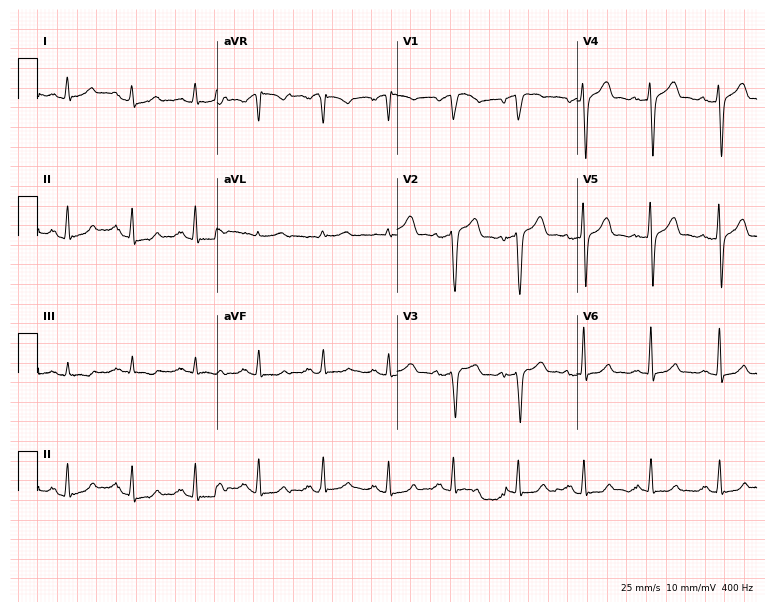
12-lead ECG (7.3-second recording at 400 Hz) from a 49-year-old male. Screened for six findings — first-degree AV block, right bundle branch block, left bundle branch block, sinus bradycardia, atrial fibrillation, sinus tachycardia — none is recorded. Other findings, if any, are not listed.